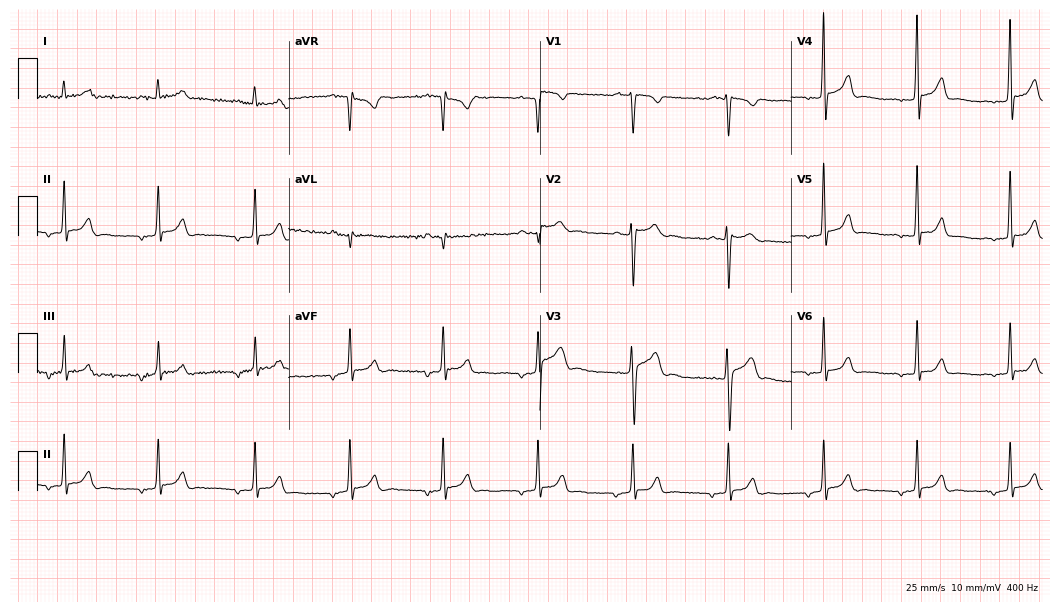
12-lead ECG (10.2-second recording at 400 Hz) from a man, 17 years old. Screened for six findings — first-degree AV block, right bundle branch block, left bundle branch block, sinus bradycardia, atrial fibrillation, sinus tachycardia — none is recorded. Findings outside these six are not listed.